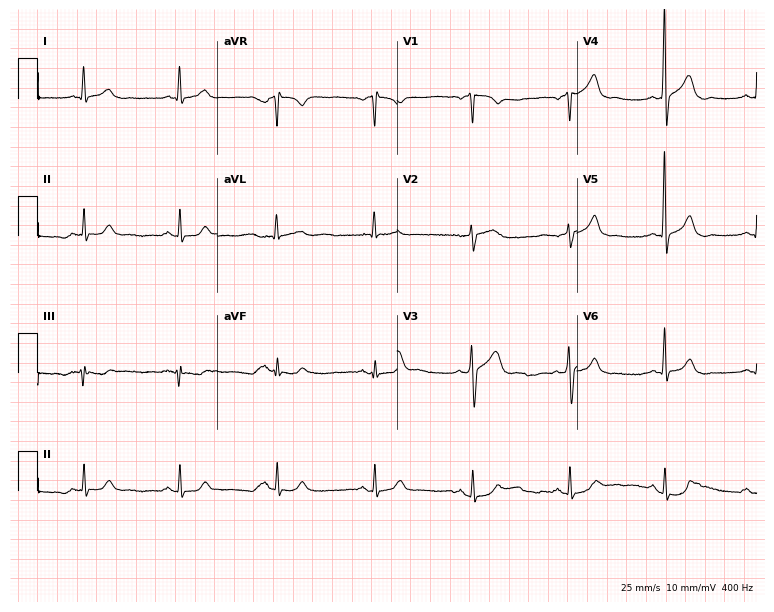
12-lead ECG from a male, 78 years old. Labelled as a normal ECG.